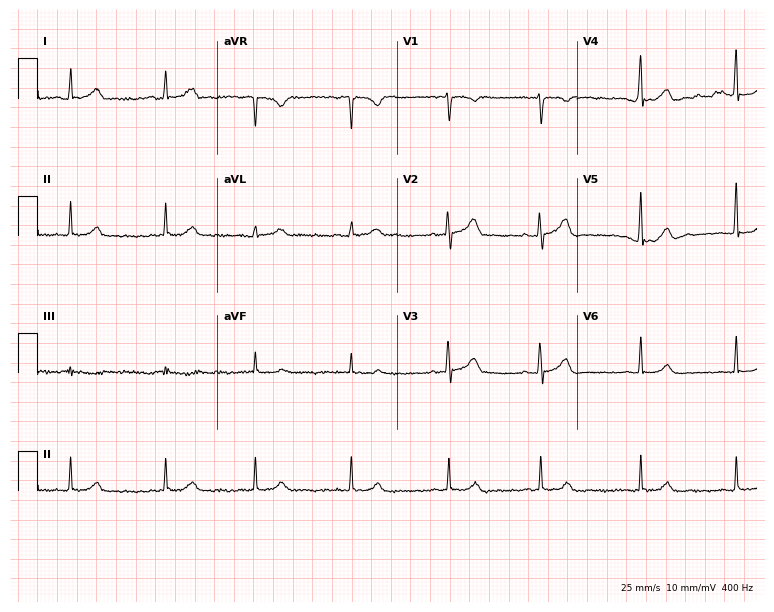
ECG — a woman, 23 years old. Labelled as a normal ECG.